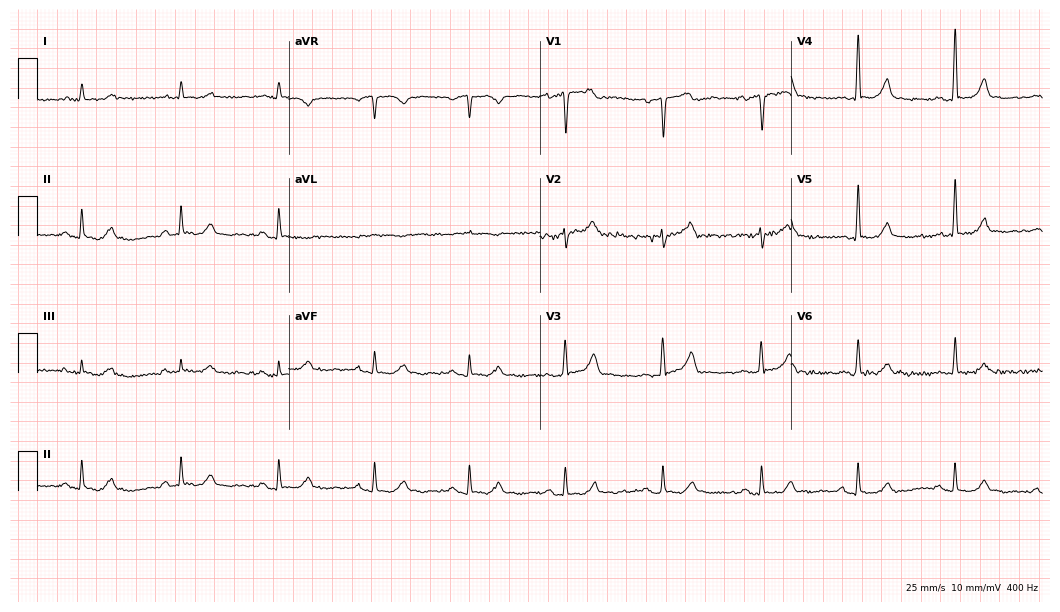
12-lead ECG from a male patient, 79 years old. Screened for six findings — first-degree AV block, right bundle branch block (RBBB), left bundle branch block (LBBB), sinus bradycardia, atrial fibrillation (AF), sinus tachycardia — none is recorded.